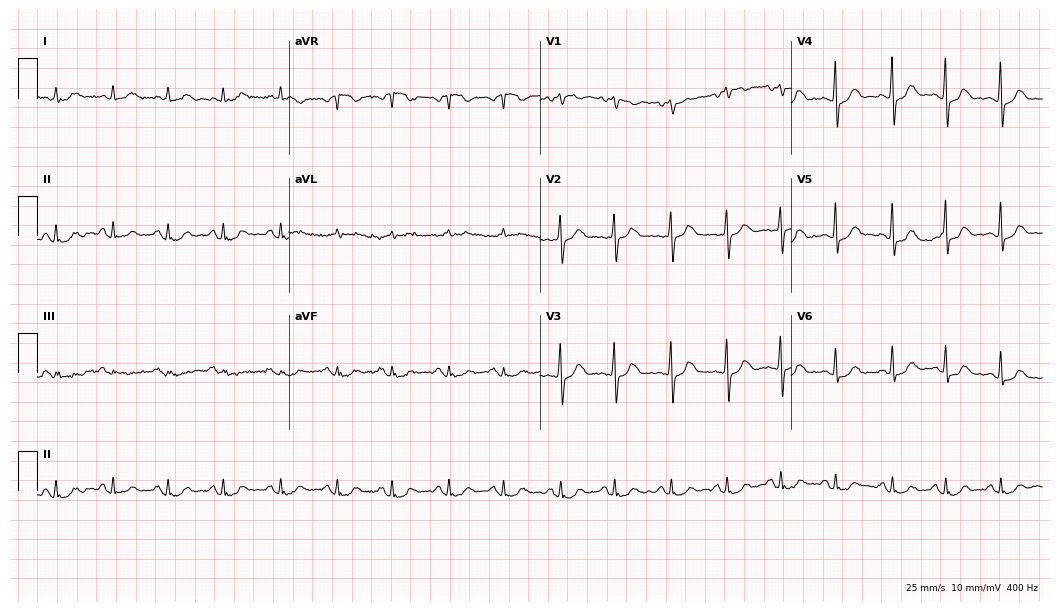
12-lead ECG (10.2-second recording at 400 Hz) from an 82-year-old female. Findings include sinus tachycardia (a sinus rate of 100 beats per minute or more).